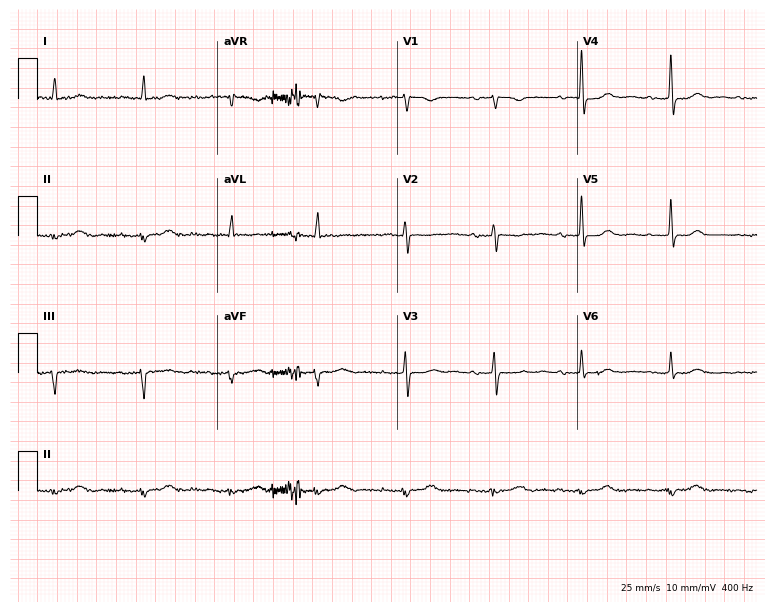
Resting 12-lead electrocardiogram. Patient: a 76-year-old woman. None of these six findings is recorded: first-degree AV block, right bundle branch block, left bundle branch block, sinus bradycardia, atrial fibrillation, sinus tachycardia.